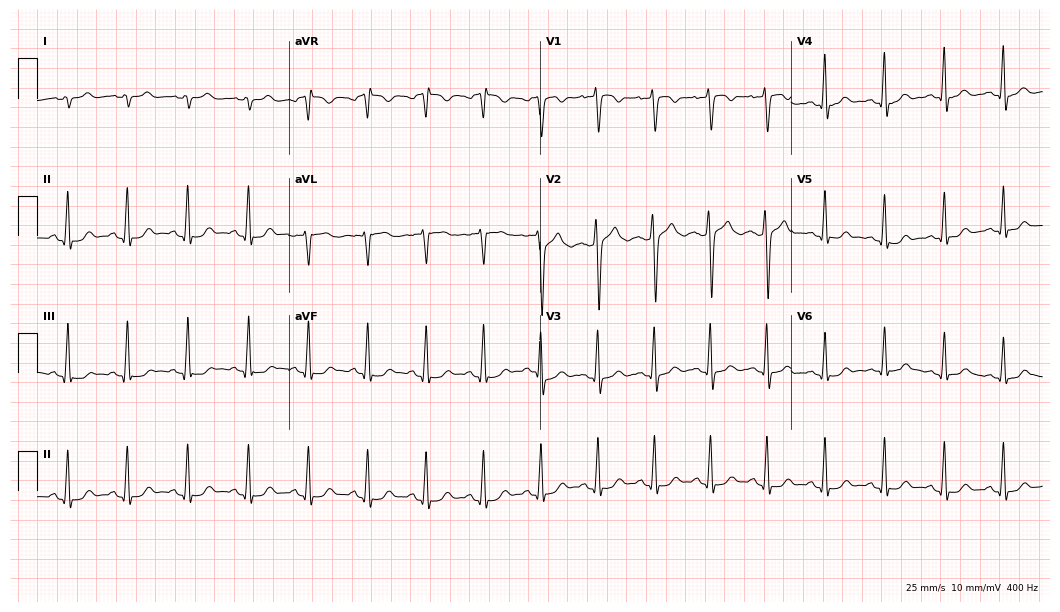
Standard 12-lead ECG recorded from a man, 26 years old (10.2-second recording at 400 Hz). None of these six findings is recorded: first-degree AV block, right bundle branch block (RBBB), left bundle branch block (LBBB), sinus bradycardia, atrial fibrillation (AF), sinus tachycardia. Only these six findings were labelled.